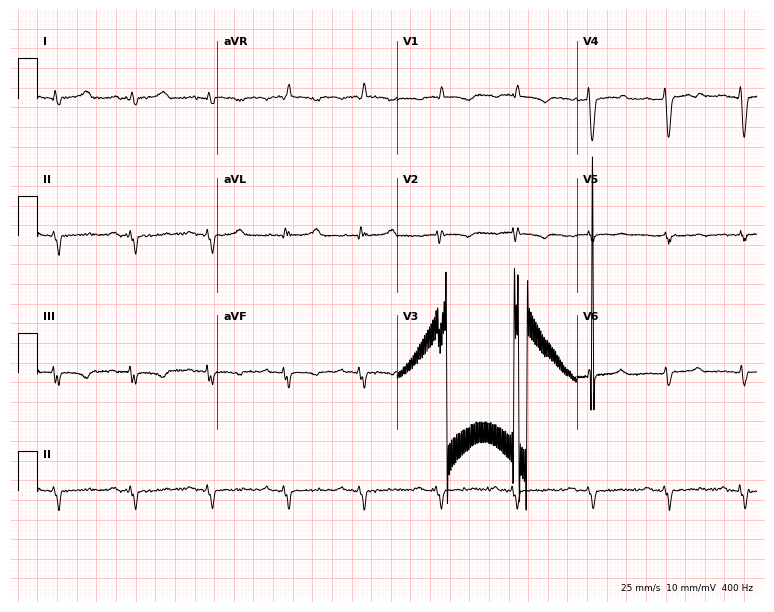
ECG — an 83-year-old female patient. Screened for six findings — first-degree AV block, right bundle branch block (RBBB), left bundle branch block (LBBB), sinus bradycardia, atrial fibrillation (AF), sinus tachycardia — none is recorded.